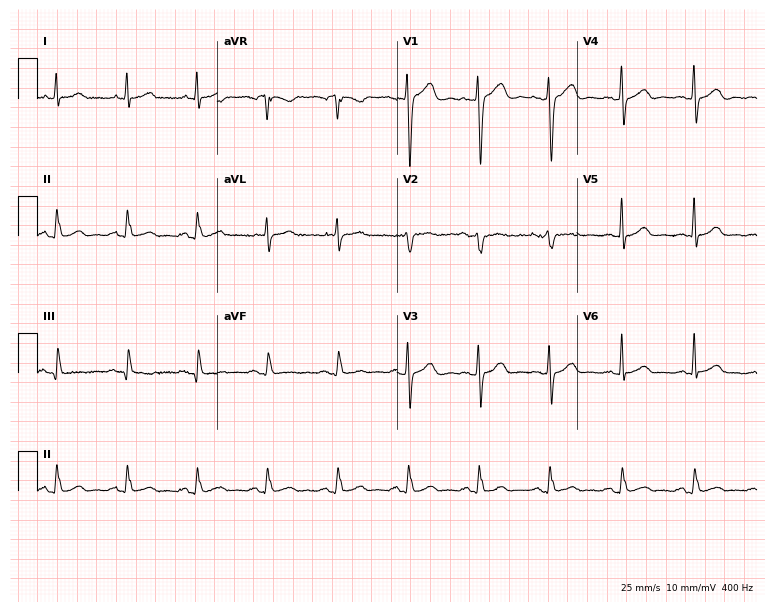
Electrocardiogram (7.3-second recording at 400 Hz), a 61-year-old man. Overall reading on record: normal ECG.